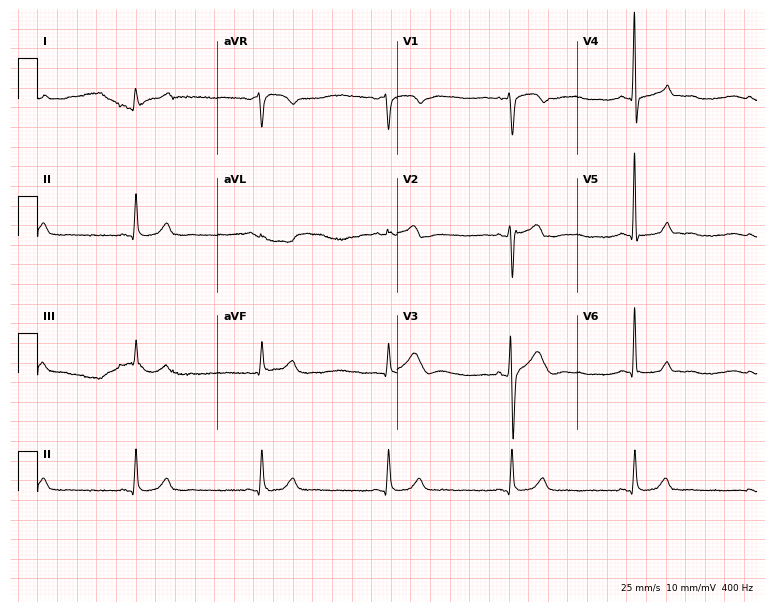
ECG (7.3-second recording at 400 Hz) — a 53-year-old man. Findings include sinus bradycardia (a sinus rate of 50 beats per minute or less).